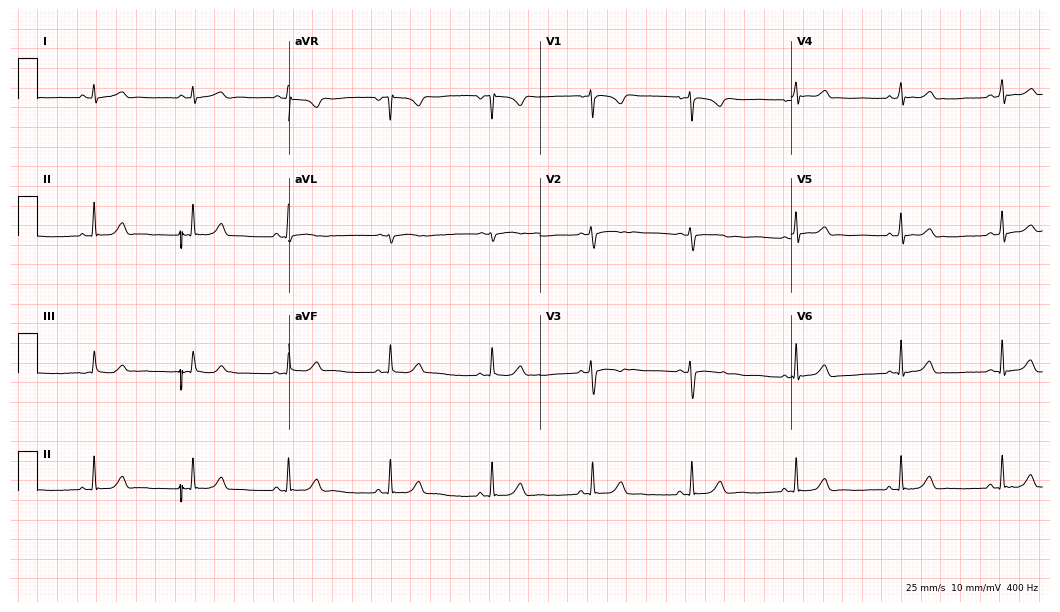
Resting 12-lead electrocardiogram. Patient: a woman, 19 years old. Read as a normal ECG.